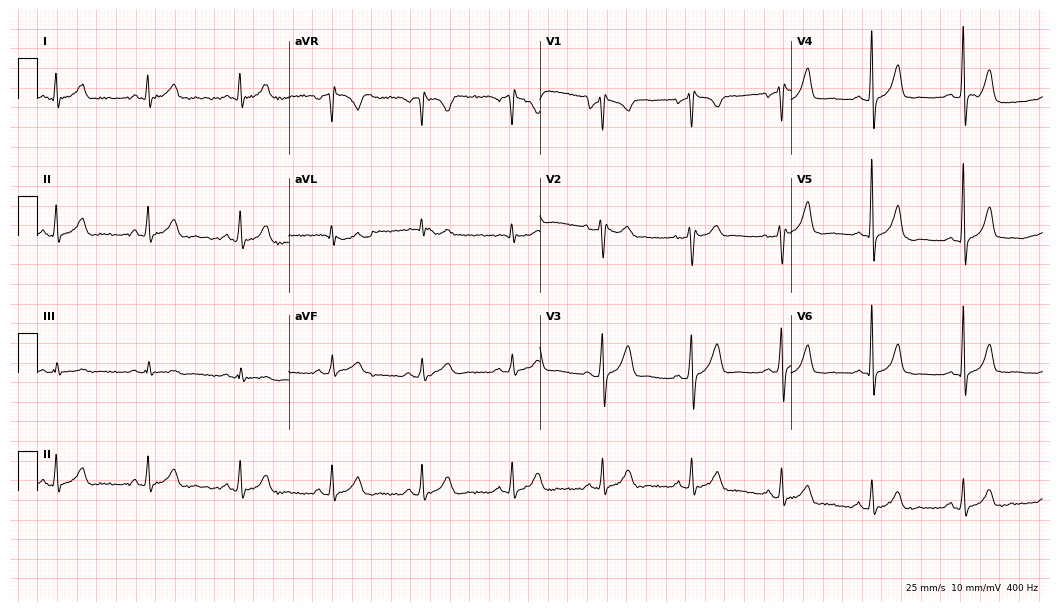
Standard 12-lead ECG recorded from a 48-year-old male (10.2-second recording at 400 Hz). Read as a normal ECG.